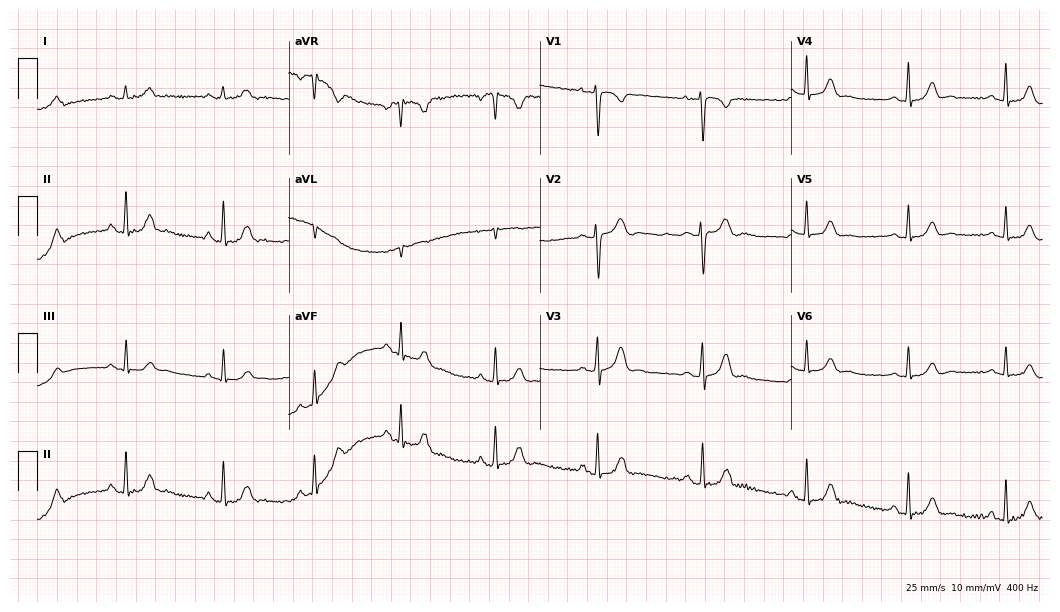
Electrocardiogram (10.2-second recording at 400 Hz), a 29-year-old female. Overall reading on record: normal ECG.